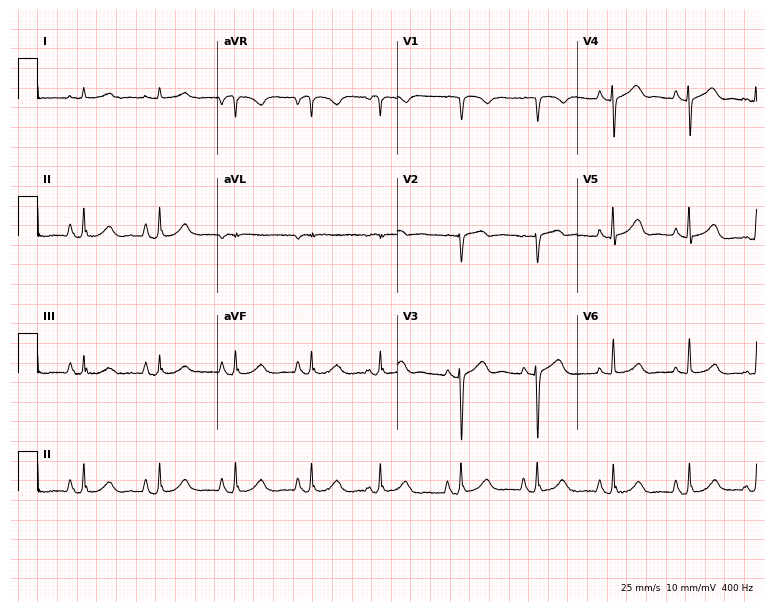
Resting 12-lead electrocardiogram. Patient: a 67-year-old man. None of these six findings is recorded: first-degree AV block, right bundle branch block, left bundle branch block, sinus bradycardia, atrial fibrillation, sinus tachycardia.